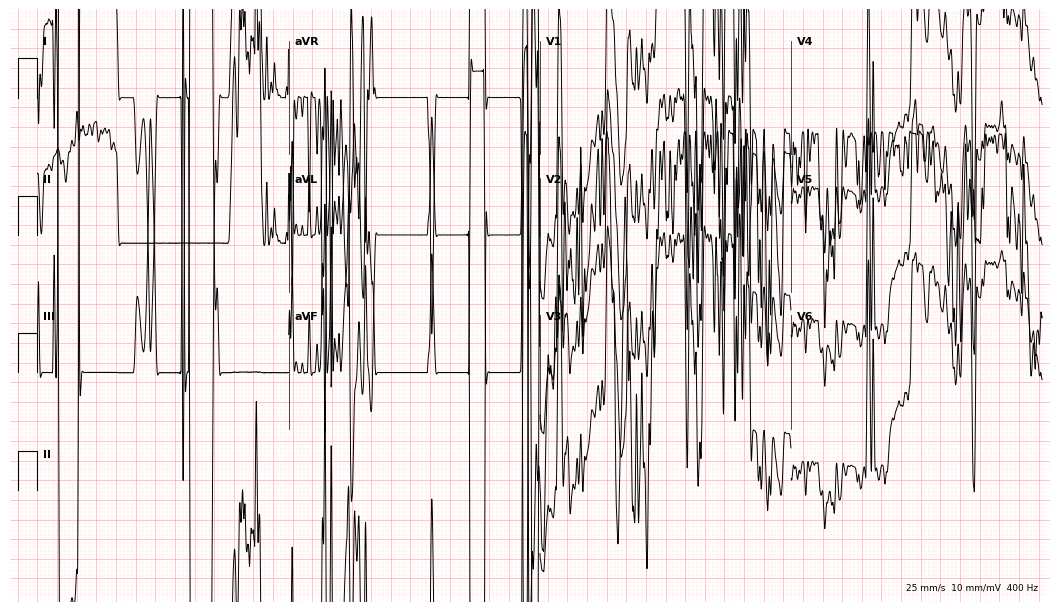
12-lead ECG (10.2-second recording at 400 Hz) from a man, 51 years old. Screened for six findings — first-degree AV block, right bundle branch block, left bundle branch block, sinus bradycardia, atrial fibrillation, sinus tachycardia — none is recorded.